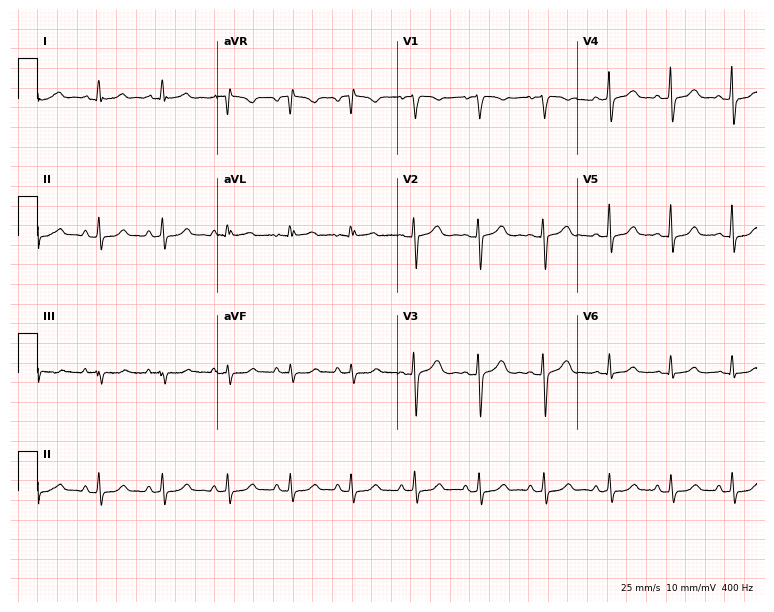
12-lead ECG from a 20-year-old female. Recorded interpretation: within normal limits.